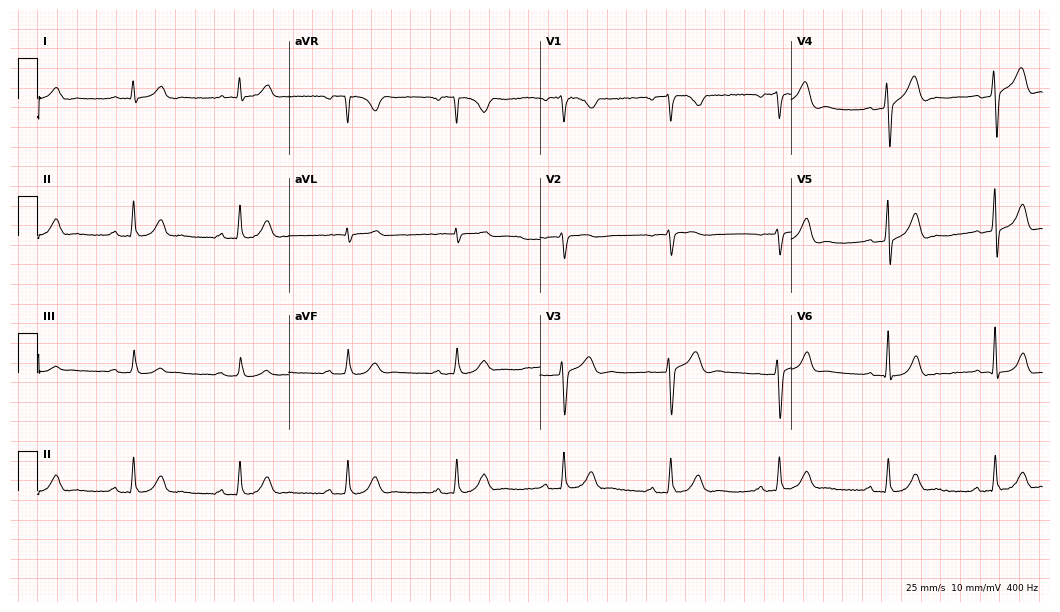
Standard 12-lead ECG recorded from a male patient, 42 years old (10.2-second recording at 400 Hz). Read as a normal ECG.